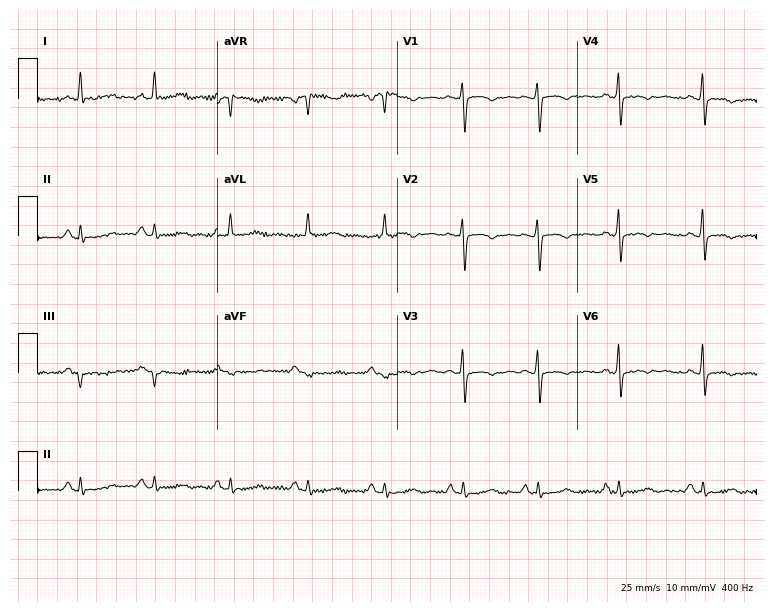
12-lead ECG from a 51-year-old female (7.3-second recording at 400 Hz). No first-degree AV block, right bundle branch block, left bundle branch block, sinus bradycardia, atrial fibrillation or sinus tachycardia recorded for this tracing. Other findings, if any, are not listed.